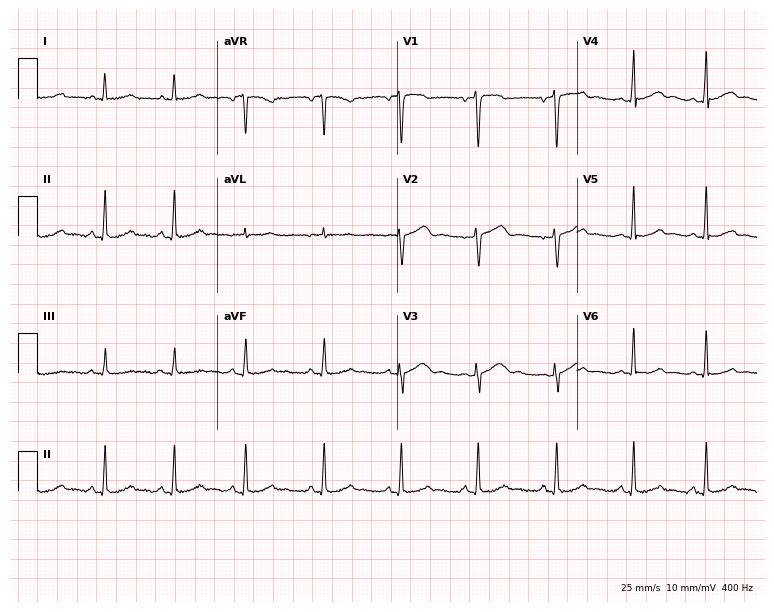
Resting 12-lead electrocardiogram. Patient: a female, 36 years old. Read as a normal ECG.